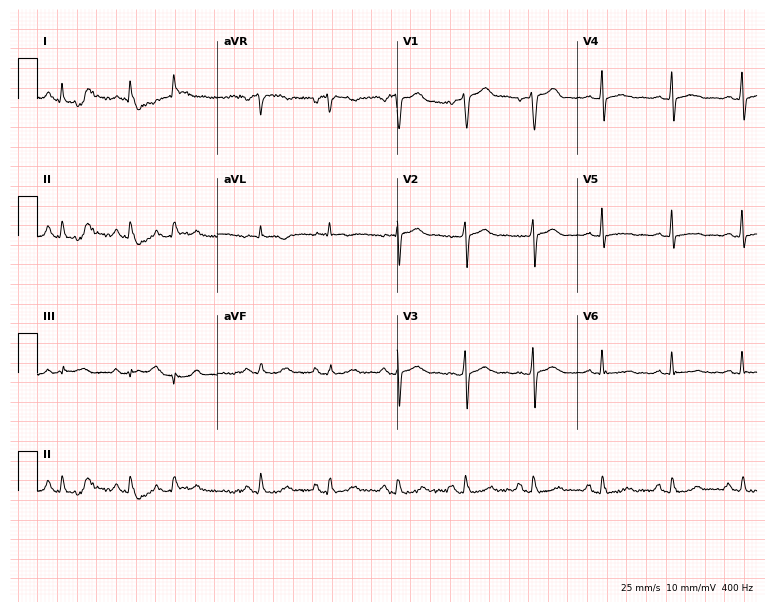
Standard 12-lead ECG recorded from a male patient, 71 years old (7.3-second recording at 400 Hz). Read as a normal ECG.